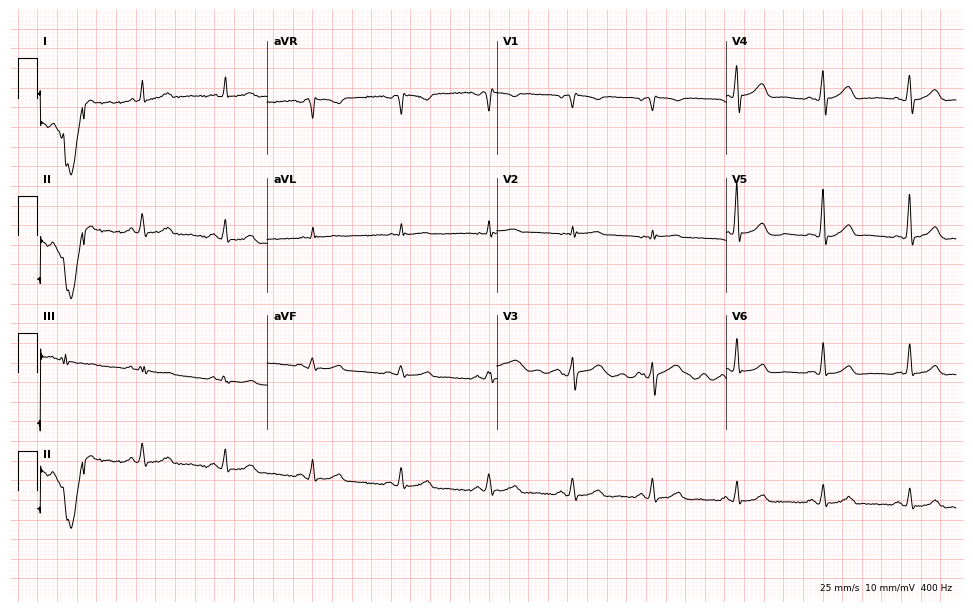
Standard 12-lead ECG recorded from a 53-year-old male patient (9.4-second recording at 400 Hz). Read as a normal ECG.